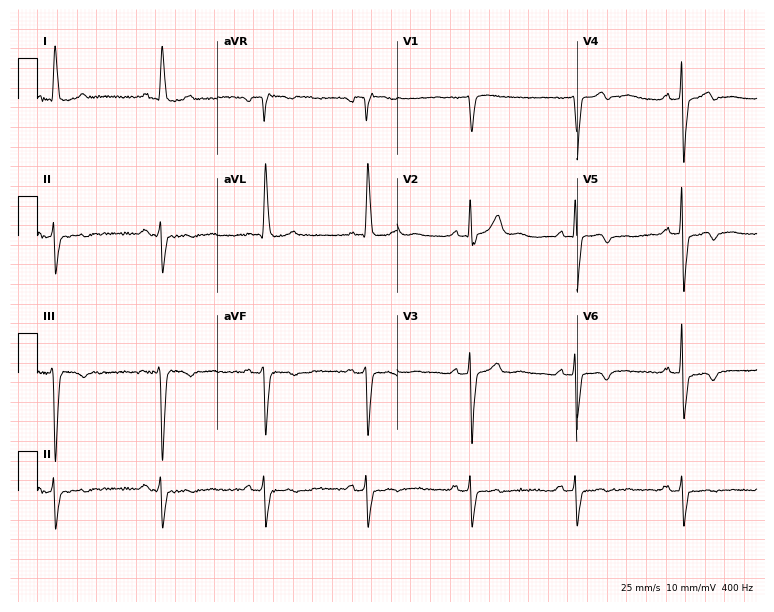
12-lead ECG from a 74-year-old man (7.3-second recording at 400 Hz). No first-degree AV block, right bundle branch block (RBBB), left bundle branch block (LBBB), sinus bradycardia, atrial fibrillation (AF) or sinus tachycardia recorded for this tracing. Other findings, if any, are not listed.